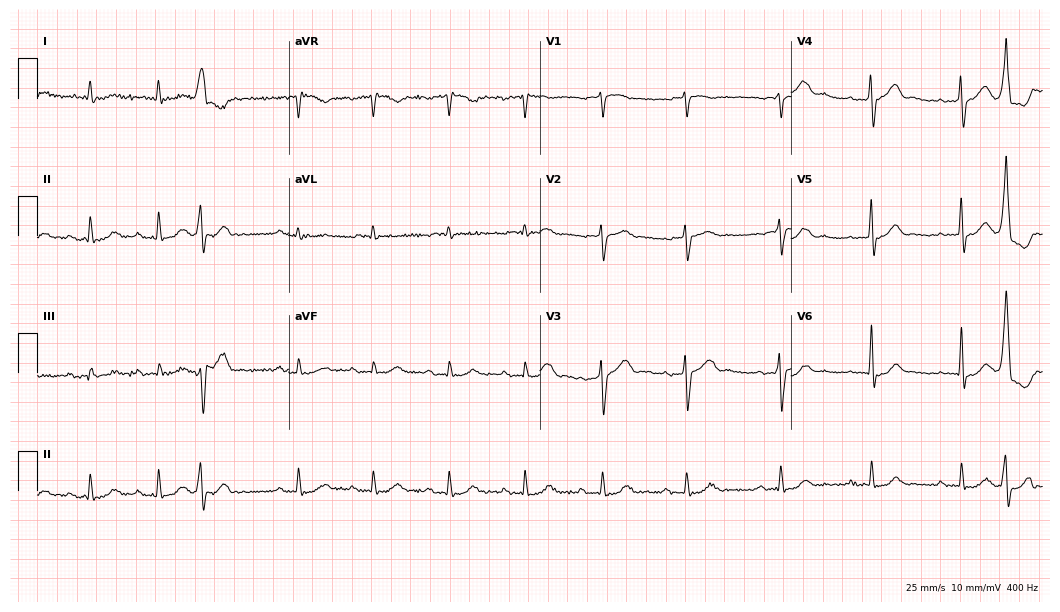
ECG — a male, 83 years old. Findings include first-degree AV block.